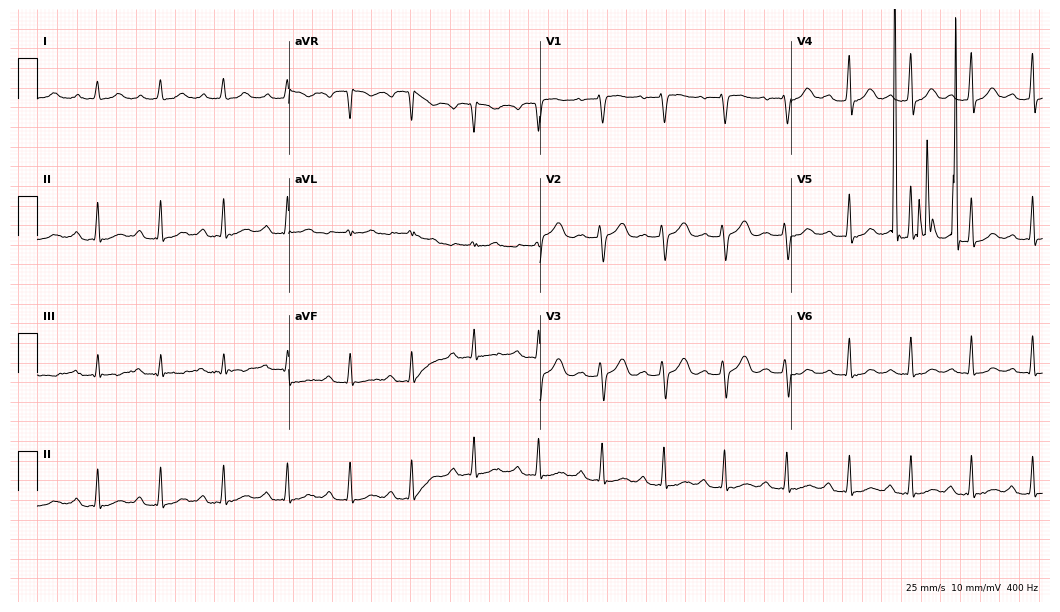
Standard 12-lead ECG recorded from a 30-year-old female patient (10.2-second recording at 400 Hz). The tracing shows first-degree AV block.